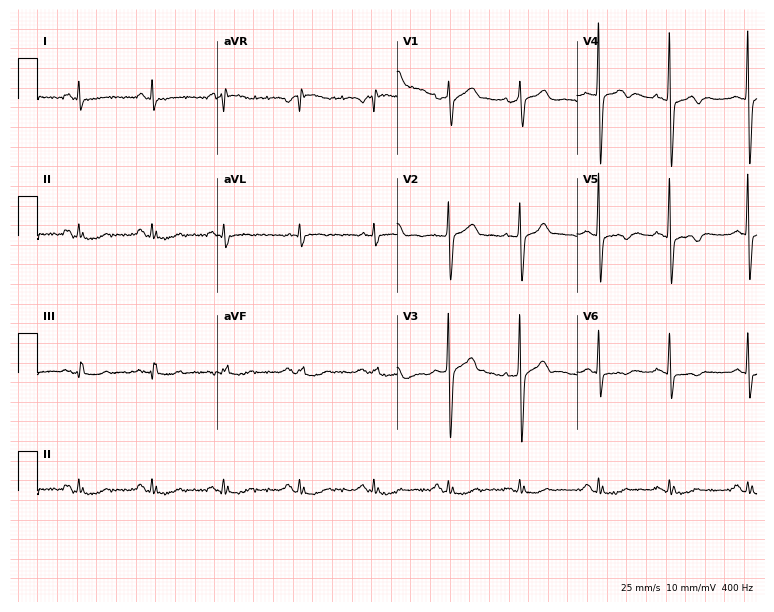
Standard 12-lead ECG recorded from a male, 60 years old (7.3-second recording at 400 Hz). None of these six findings is recorded: first-degree AV block, right bundle branch block, left bundle branch block, sinus bradycardia, atrial fibrillation, sinus tachycardia. Other findings, if any, are not listed.